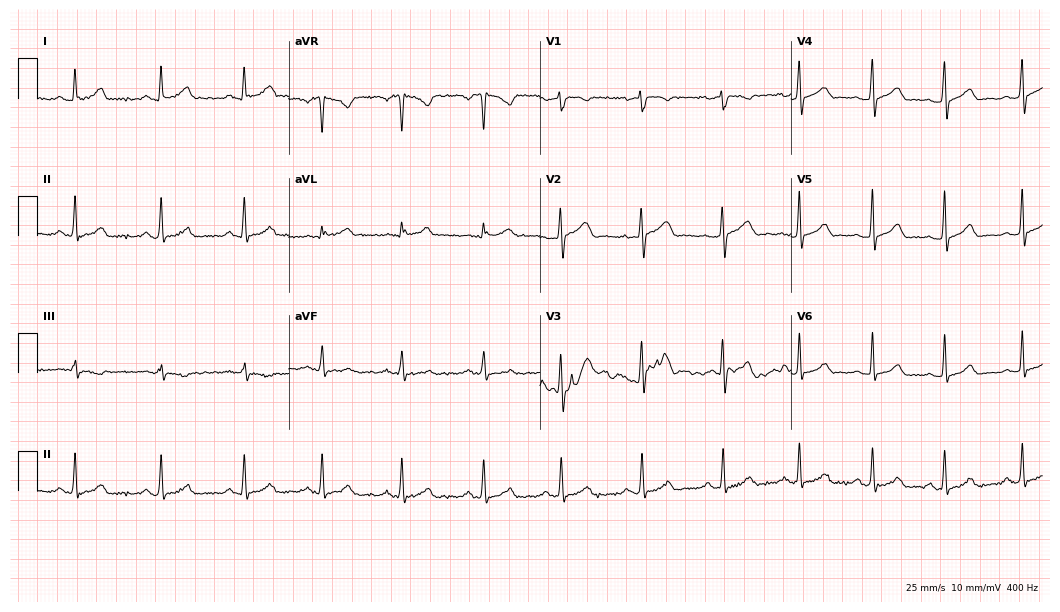
12-lead ECG from a 44-year-old female patient. Screened for six findings — first-degree AV block, right bundle branch block, left bundle branch block, sinus bradycardia, atrial fibrillation, sinus tachycardia — none is recorded.